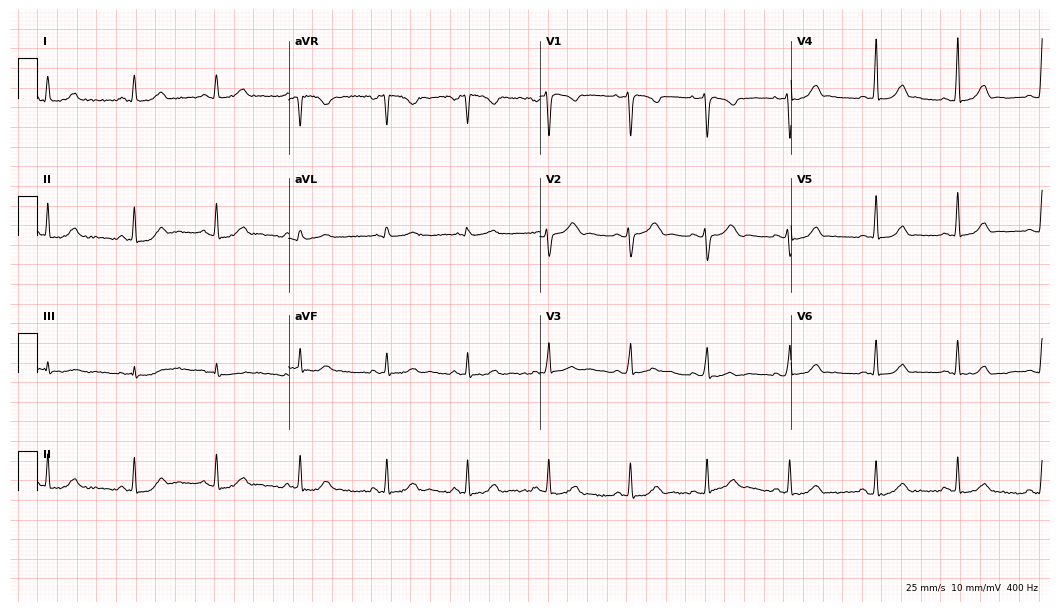
Standard 12-lead ECG recorded from a 20-year-old female. None of these six findings is recorded: first-degree AV block, right bundle branch block (RBBB), left bundle branch block (LBBB), sinus bradycardia, atrial fibrillation (AF), sinus tachycardia. Other findings, if any, are not listed.